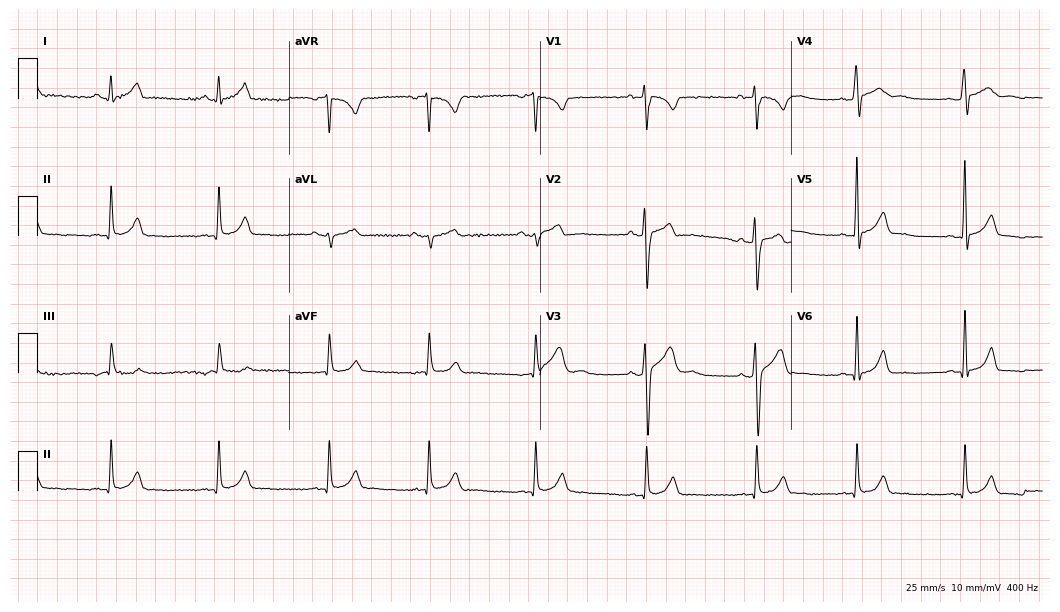
ECG — a male patient, 24 years old. Screened for six findings — first-degree AV block, right bundle branch block, left bundle branch block, sinus bradycardia, atrial fibrillation, sinus tachycardia — none is recorded. Other findings, if any, are not listed.